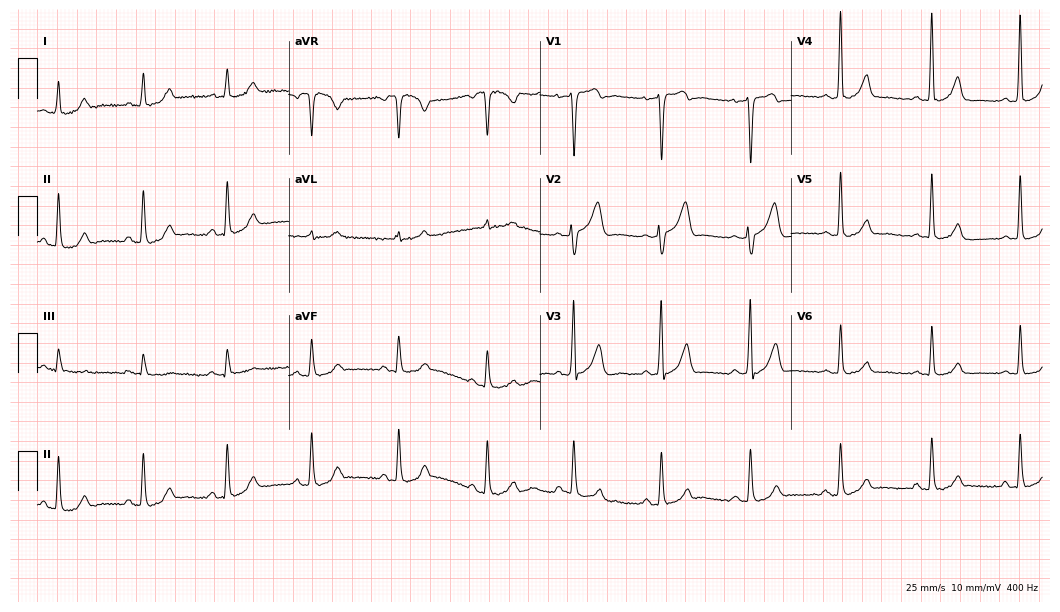
Standard 12-lead ECG recorded from a 53-year-old man (10.2-second recording at 400 Hz). Read as a normal ECG.